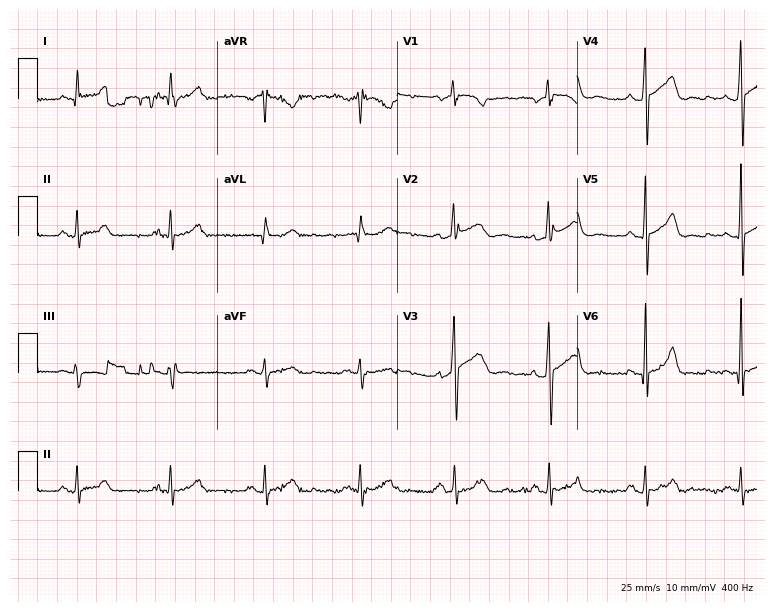
12-lead ECG from a 62-year-old man. Labelled as a normal ECG.